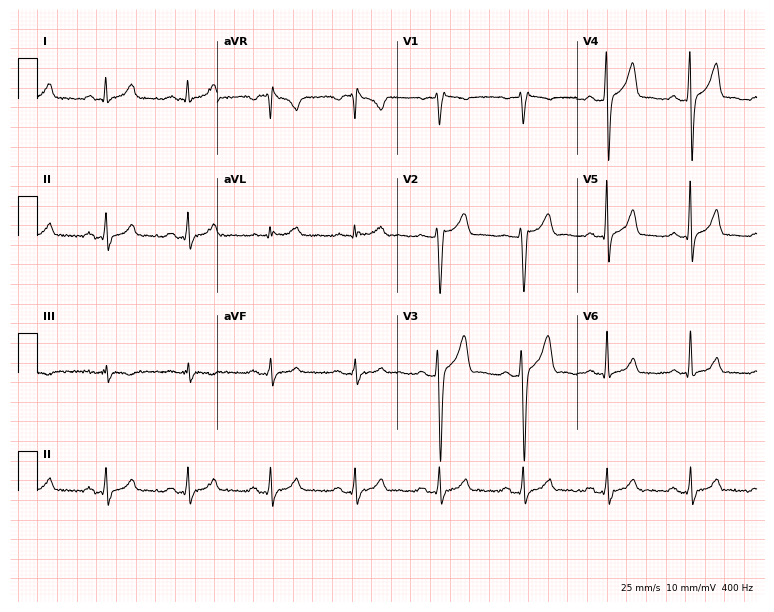
Standard 12-lead ECG recorded from a 46-year-old male (7.3-second recording at 400 Hz). Read as a normal ECG.